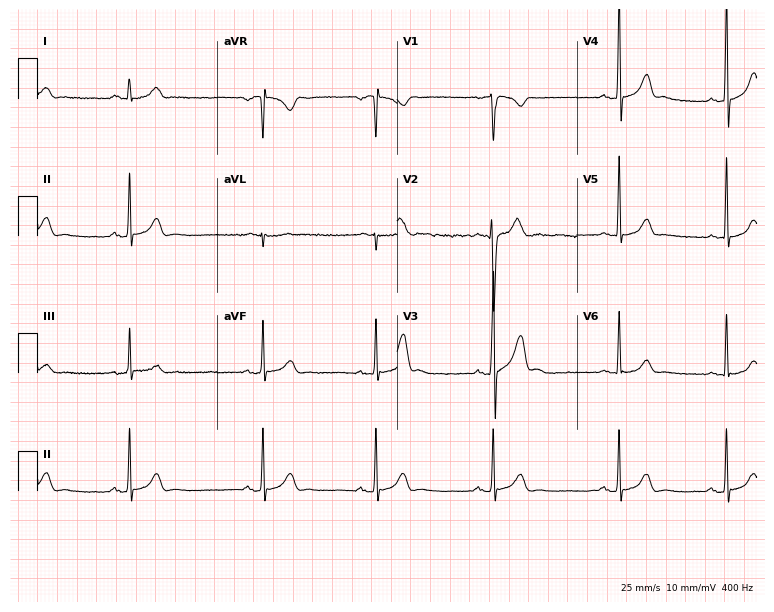
Standard 12-lead ECG recorded from a male, 20 years old (7.3-second recording at 400 Hz). None of these six findings is recorded: first-degree AV block, right bundle branch block, left bundle branch block, sinus bradycardia, atrial fibrillation, sinus tachycardia.